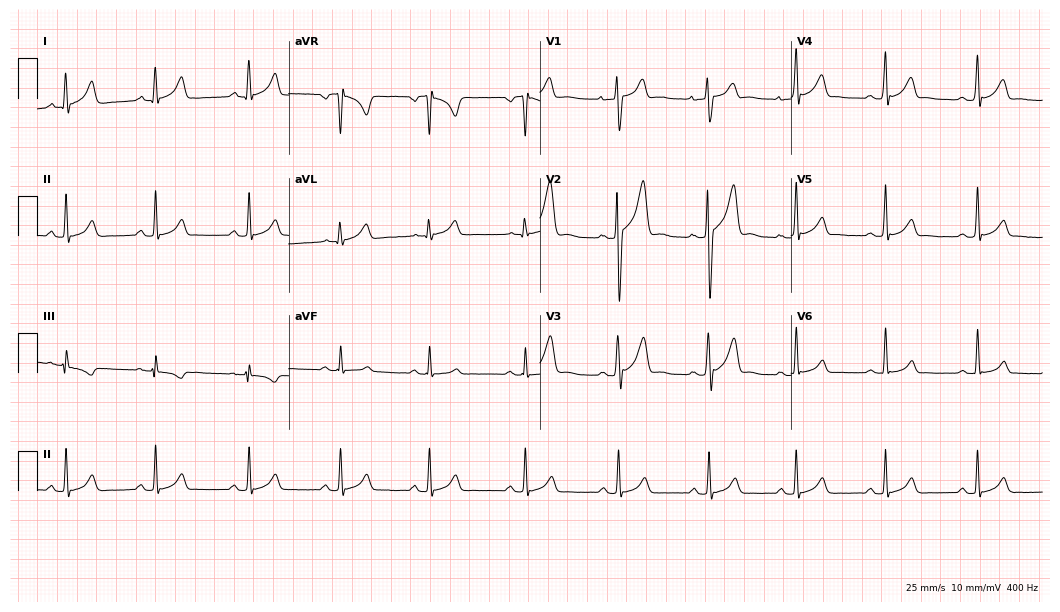
Standard 12-lead ECG recorded from a 23-year-old male patient (10.2-second recording at 400 Hz). Read as a normal ECG.